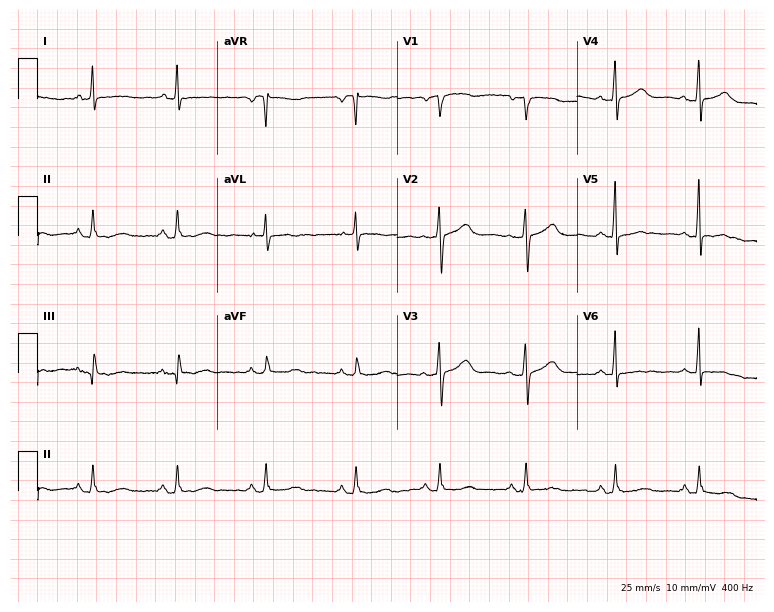
Electrocardiogram, a woman, 48 years old. Of the six screened findings (first-degree AV block, right bundle branch block (RBBB), left bundle branch block (LBBB), sinus bradycardia, atrial fibrillation (AF), sinus tachycardia), none is recorded.